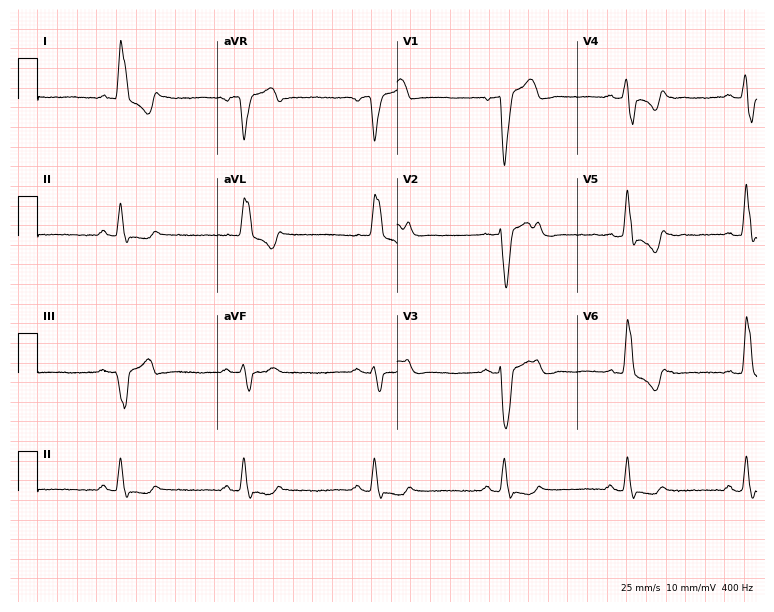
12-lead ECG (7.3-second recording at 400 Hz) from a 79-year-old male. Findings include left bundle branch block (LBBB), sinus bradycardia (a sinus rate of 50 beats per minute or less).